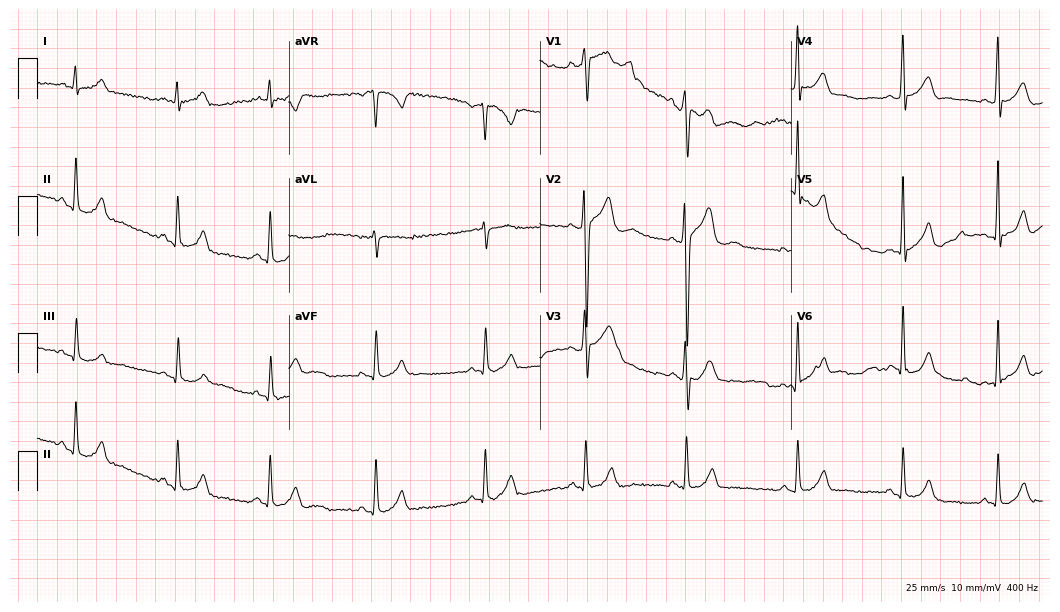
ECG — a 17-year-old male patient. Labelled as a normal ECG.